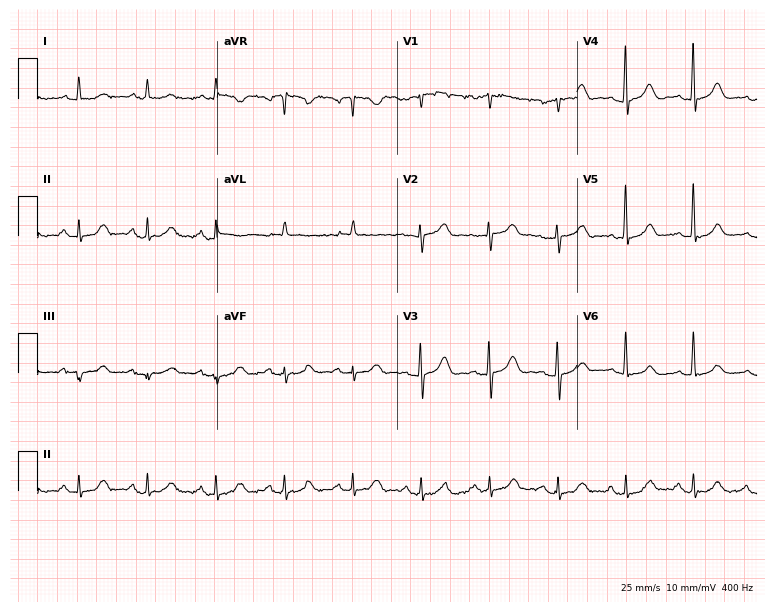
12-lead ECG from an 83-year-old female. Screened for six findings — first-degree AV block, right bundle branch block (RBBB), left bundle branch block (LBBB), sinus bradycardia, atrial fibrillation (AF), sinus tachycardia — none is recorded. Other findings, if any, are not listed.